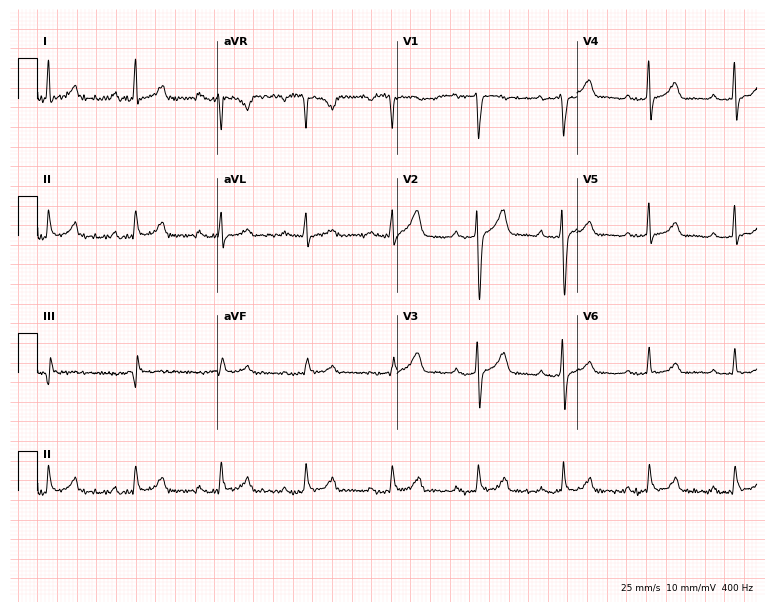
12-lead ECG from a male patient, 44 years old. Shows first-degree AV block.